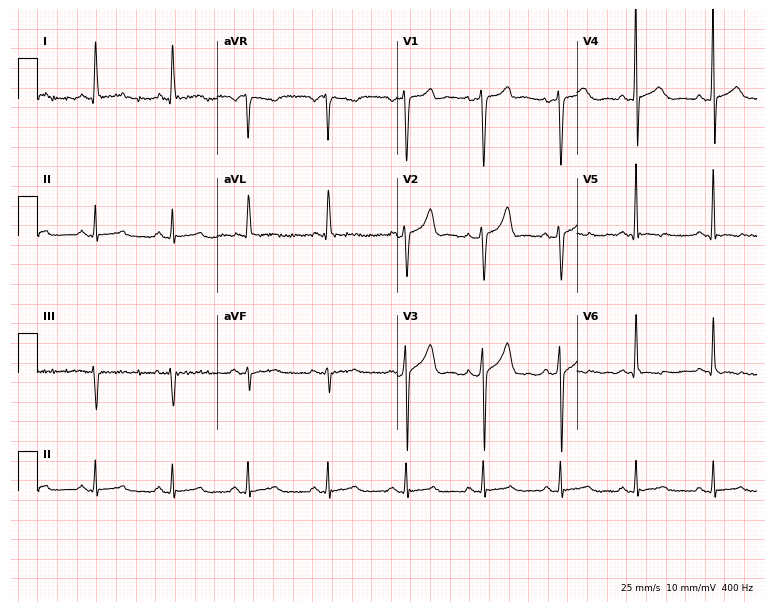
Standard 12-lead ECG recorded from a 48-year-old male patient (7.3-second recording at 400 Hz). Read as a normal ECG.